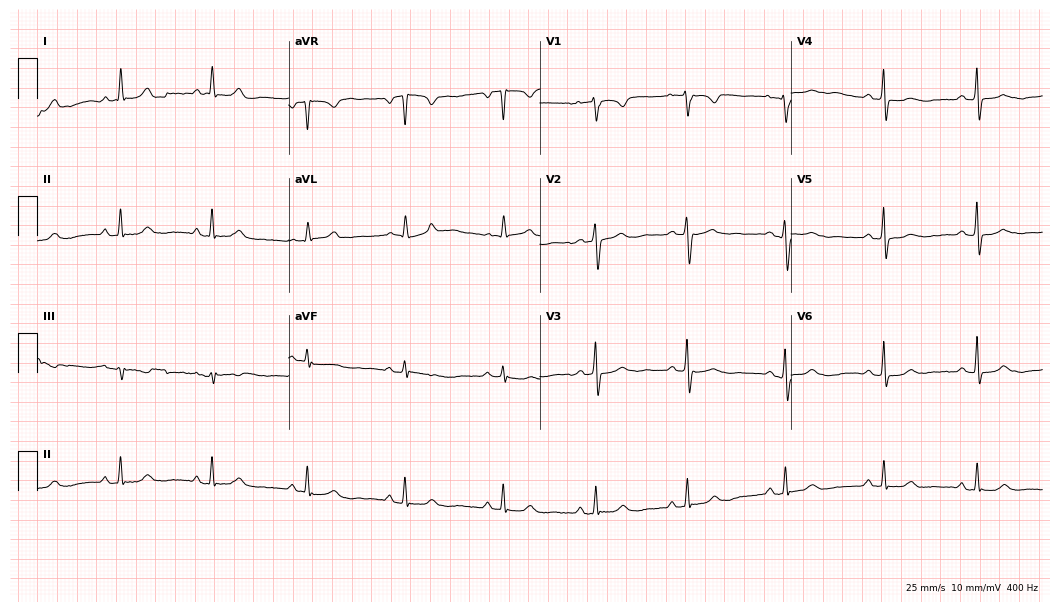
ECG (10.2-second recording at 400 Hz) — a female patient, 70 years old. Labelled as a normal ECG.